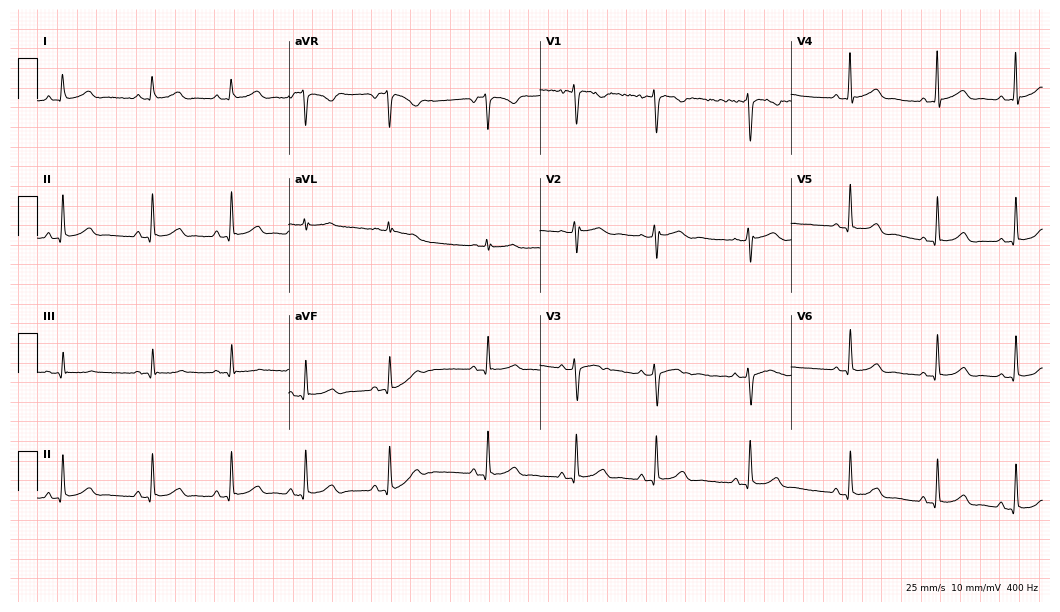
Resting 12-lead electrocardiogram. Patient: a female, 22 years old. Read as a normal ECG.